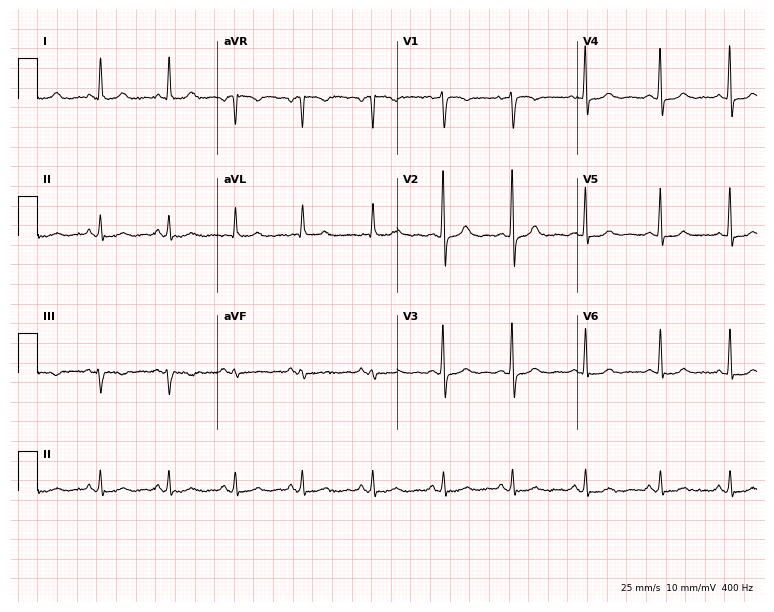
12-lead ECG from a female patient, 52 years old (7.3-second recording at 400 Hz). Recorded interpretation: within normal limits.